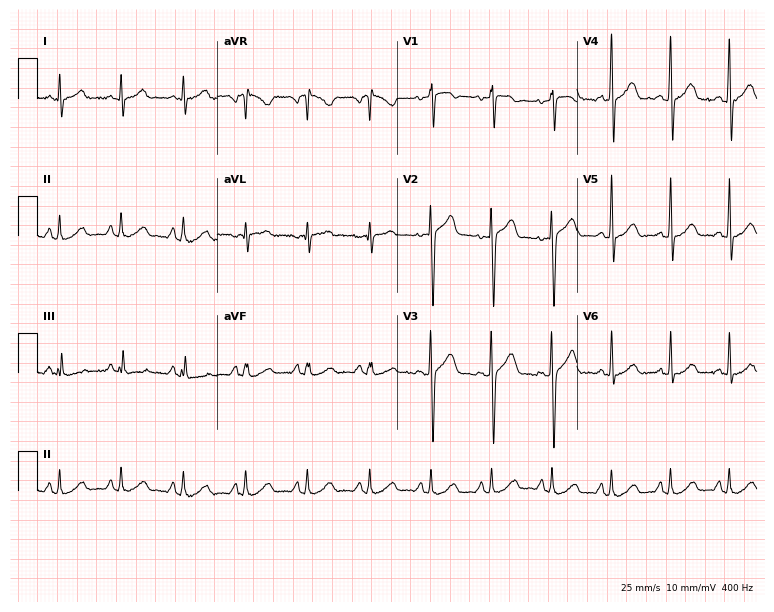
12-lead ECG from a 52-year-old man. Recorded interpretation: within normal limits.